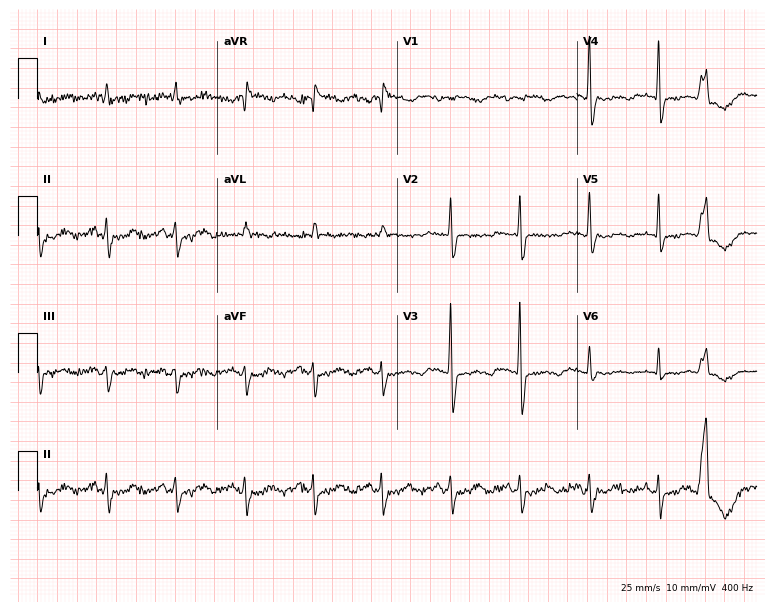
12-lead ECG from a female, 67 years old (7.3-second recording at 400 Hz). No first-degree AV block, right bundle branch block, left bundle branch block, sinus bradycardia, atrial fibrillation or sinus tachycardia recorded for this tracing.